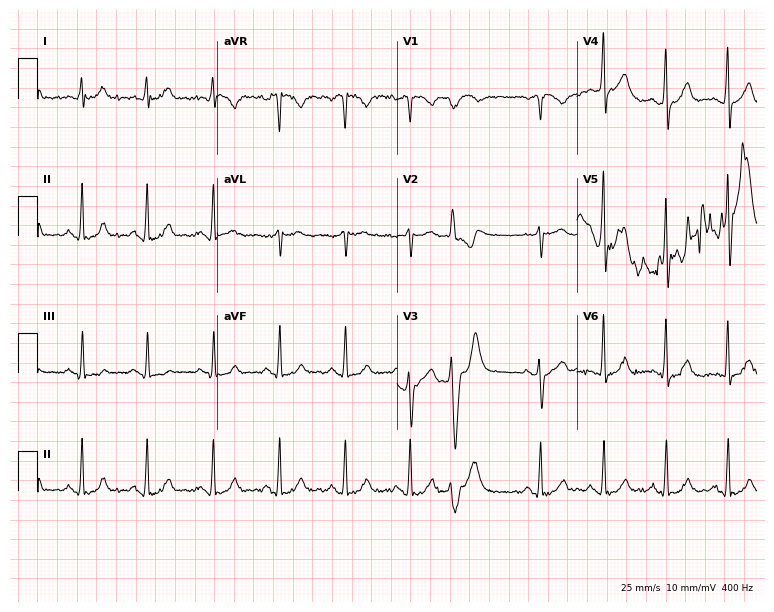
12-lead ECG from a male, 63 years old (7.3-second recording at 400 Hz). No first-degree AV block, right bundle branch block, left bundle branch block, sinus bradycardia, atrial fibrillation or sinus tachycardia recorded for this tracing.